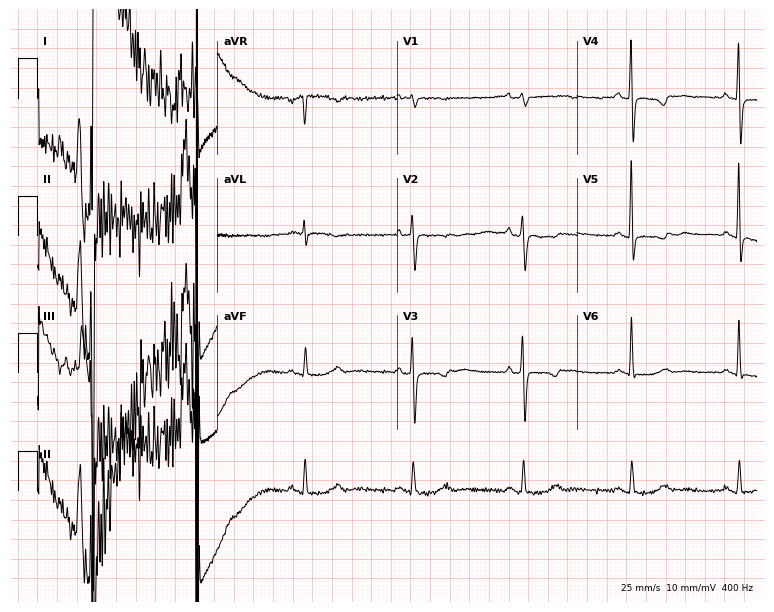
12-lead ECG from a woman, 73 years old. No first-degree AV block, right bundle branch block, left bundle branch block, sinus bradycardia, atrial fibrillation or sinus tachycardia recorded for this tracing. Findings outside these six are not listed.